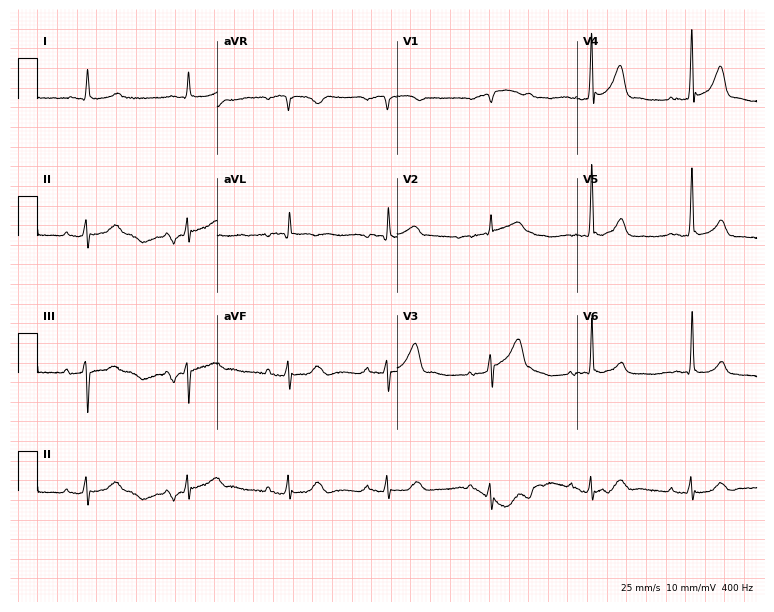
12-lead ECG from an 85-year-old male patient. Labelled as a normal ECG.